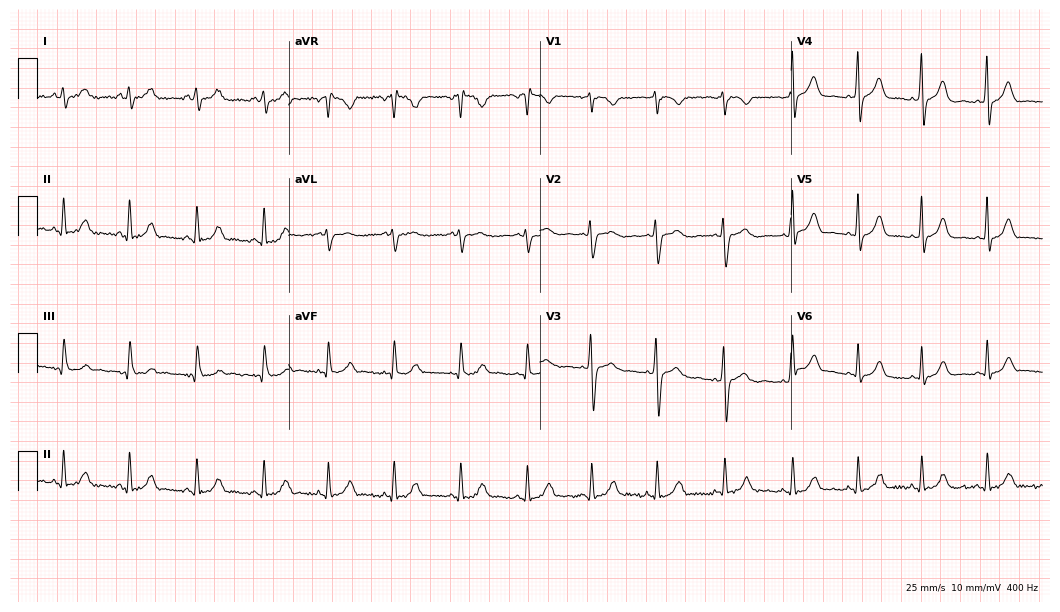
Standard 12-lead ECG recorded from a 20-year-old female. Read as a normal ECG.